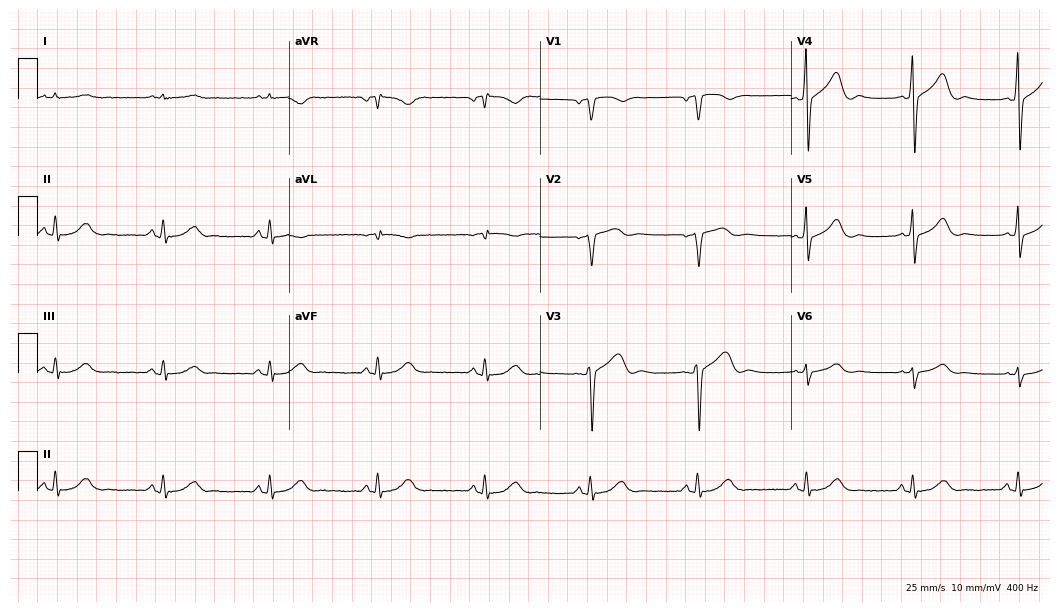
12-lead ECG from a 59-year-old male patient (10.2-second recording at 400 Hz). No first-degree AV block, right bundle branch block, left bundle branch block, sinus bradycardia, atrial fibrillation or sinus tachycardia recorded for this tracing.